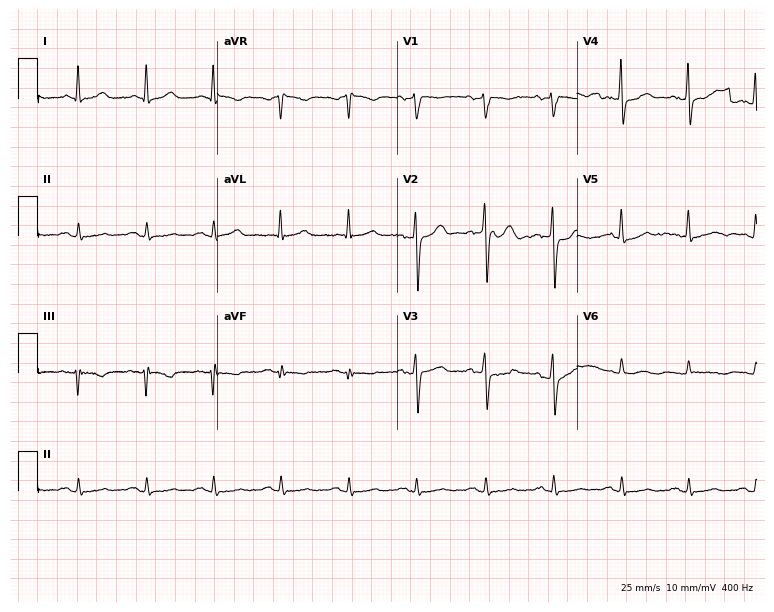
Resting 12-lead electrocardiogram (7.3-second recording at 400 Hz). Patient: a male, 56 years old. None of these six findings is recorded: first-degree AV block, right bundle branch block, left bundle branch block, sinus bradycardia, atrial fibrillation, sinus tachycardia.